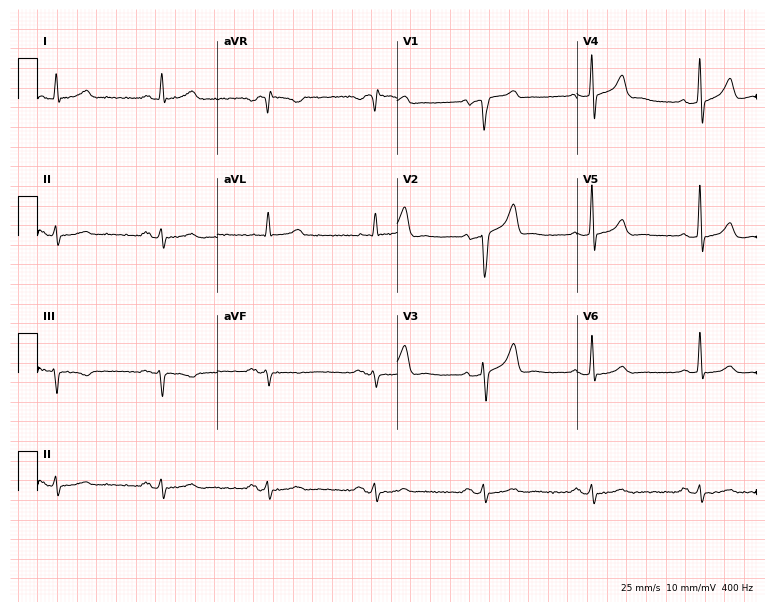
Resting 12-lead electrocardiogram (7.3-second recording at 400 Hz). Patient: a woman, 52 years old. None of these six findings is recorded: first-degree AV block, right bundle branch block, left bundle branch block, sinus bradycardia, atrial fibrillation, sinus tachycardia. Only these six findings were labelled.